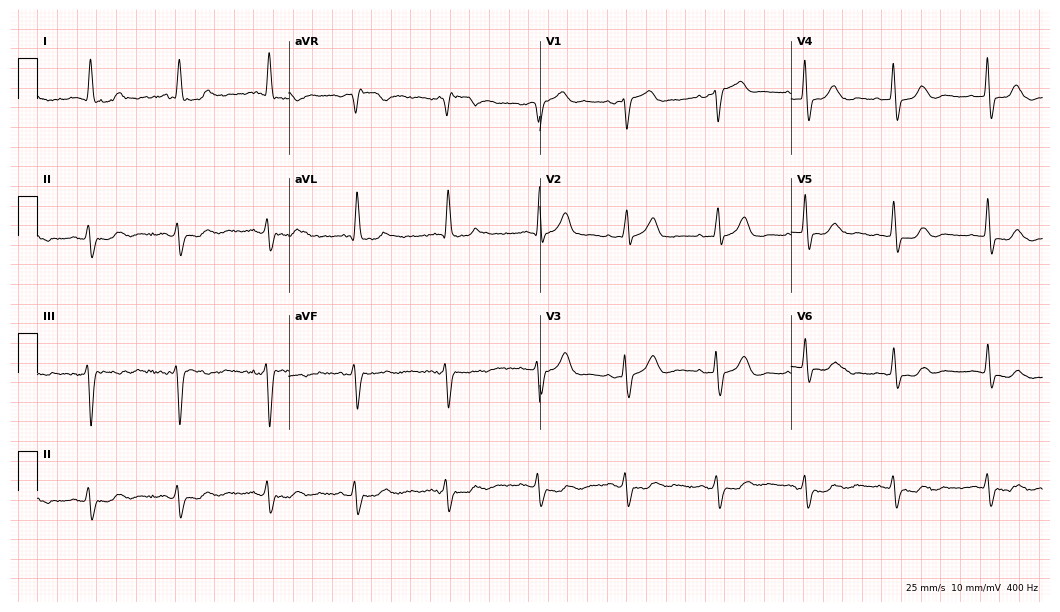
ECG (10.2-second recording at 400 Hz) — a female, 82 years old. Screened for six findings — first-degree AV block, right bundle branch block (RBBB), left bundle branch block (LBBB), sinus bradycardia, atrial fibrillation (AF), sinus tachycardia — none is recorded.